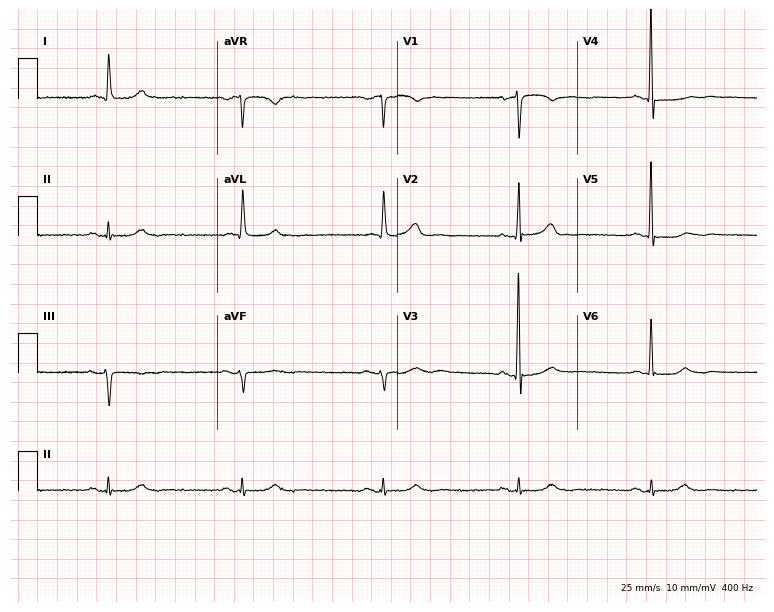
Electrocardiogram (7.3-second recording at 400 Hz), an 86-year-old male. Interpretation includes sinus bradycardia (a sinus rate of 50 beats per minute or less).